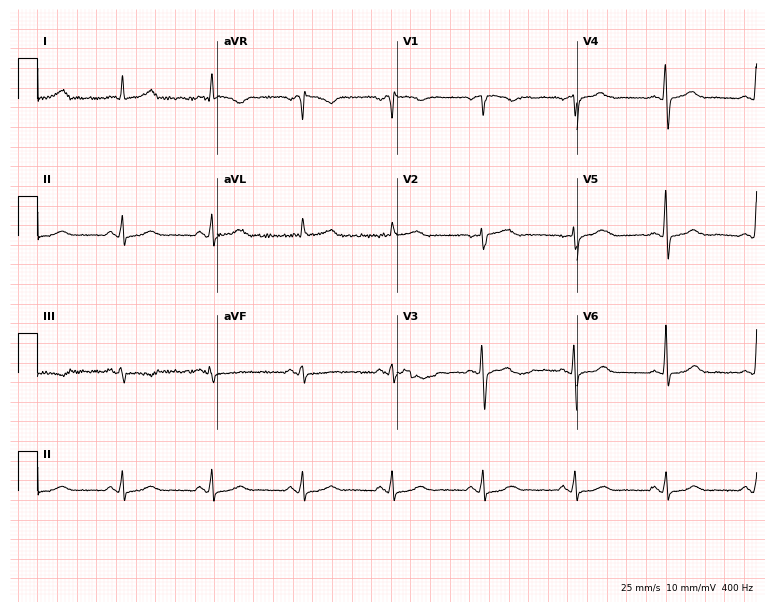
Standard 12-lead ECG recorded from a 56-year-old woman (7.3-second recording at 400 Hz). Read as a normal ECG.